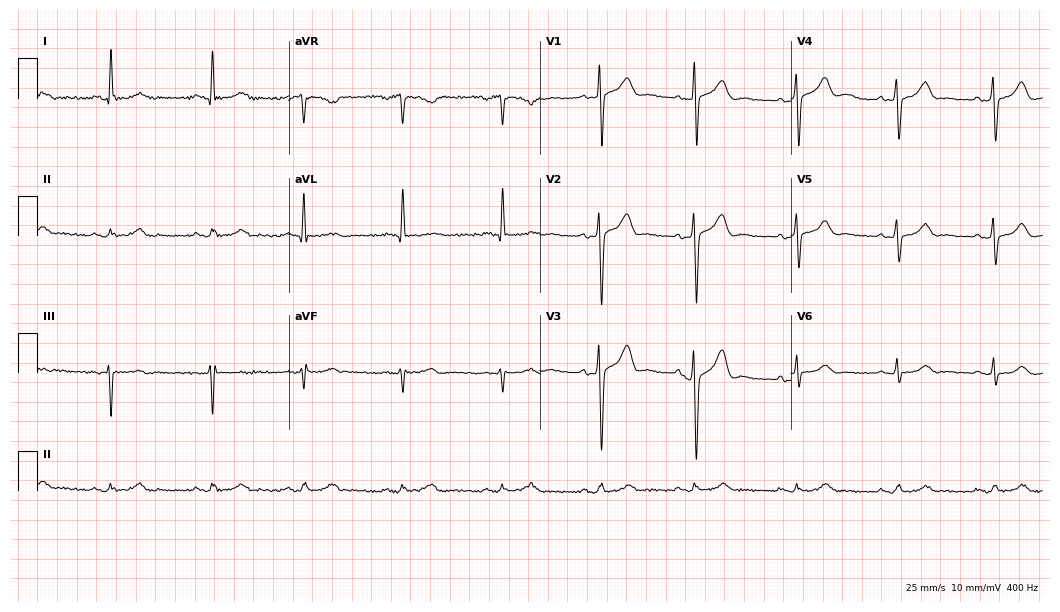
Standard 12-lead ECG recorded from a 74-year-old man. Read as a normal ECG.